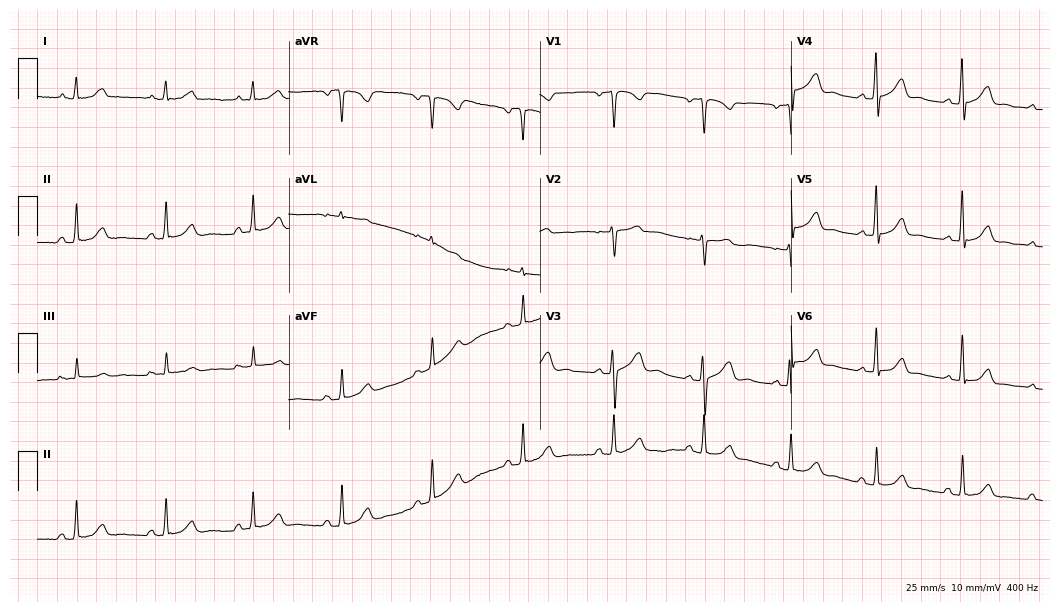
12-lead ECG from a female patient, 40 years old. Labelled as a normal ECG.